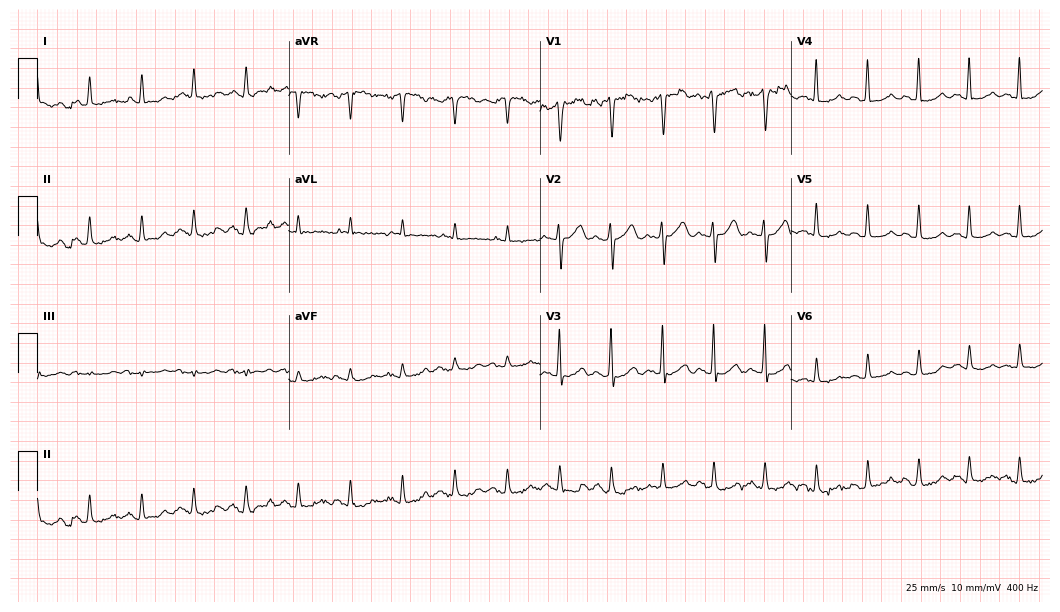
Resting 12-lead electrocardiogram. Patient: a 67-year-old man. None of these six findings is recorded: first-degree AV block, right bundle branch block (RBBB), left bundle branch block (LBBB), sinus bradycardia, atrial fibrillation (AF), sinus tachycardia.